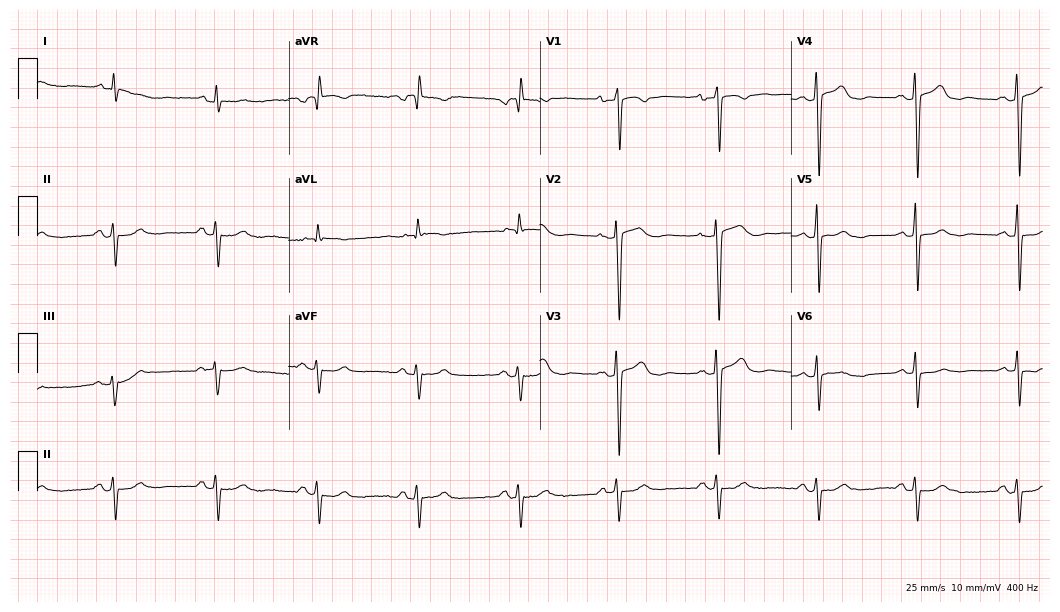
Resting 12-lead electrocardiogram (10.2-second recording at 400 Hz). Patient: a 62-year-old man. None of these six findings is recorded: first-degree AV block, right bundle branch block, left bundle branch block, sinus bradycardia, atrial fibrillation, sinus tachycardia.